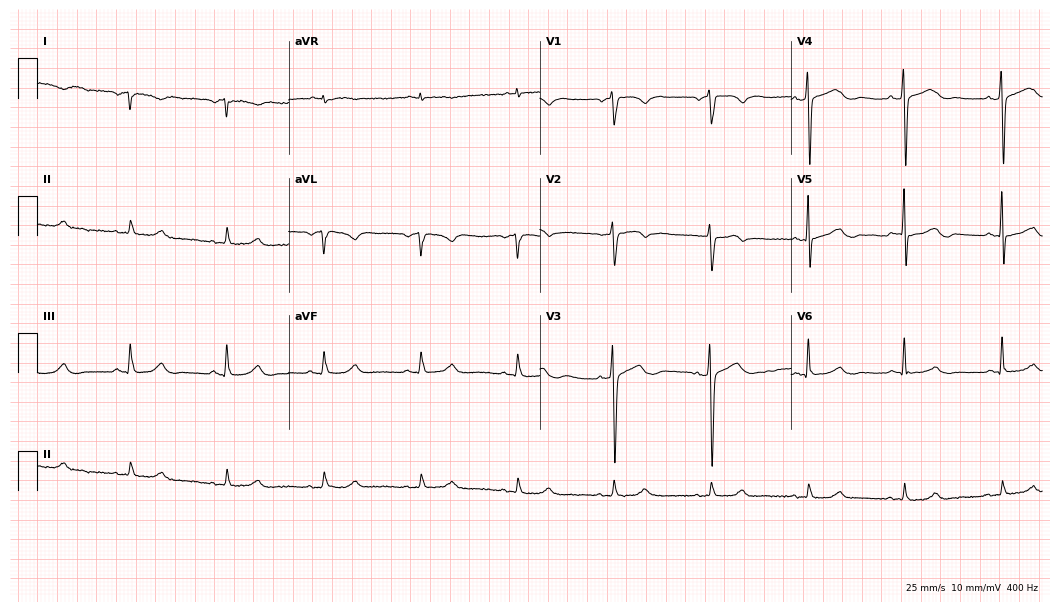
Standard 12-lead ECG recorded from a man, 78 years old (10.2-second recording at 400 Hz). None of these six findings is recorded: first-degree AV block, right bundle branch block (RBBB), left bundle branch block (LBBB), sinus bradycardia, atrial fibrillation (AF), sinus tachycardia.